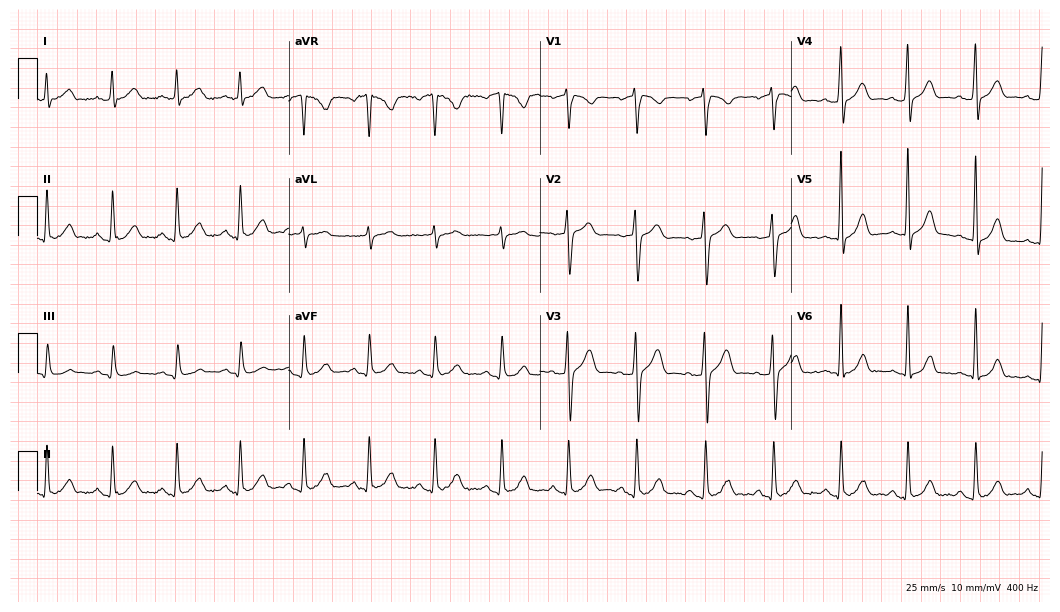
Resting 12-lead electrocardiogram (10.2-second recording at 400 Hz). Patient: a male, 49 years old. None of these six findings is recorded: first-degree AV block, right bundle branch block, left bundle branch block, sinus bradycardia, atrial fibrillation, sinus tachycardia. Other findings, if any, are not listed.